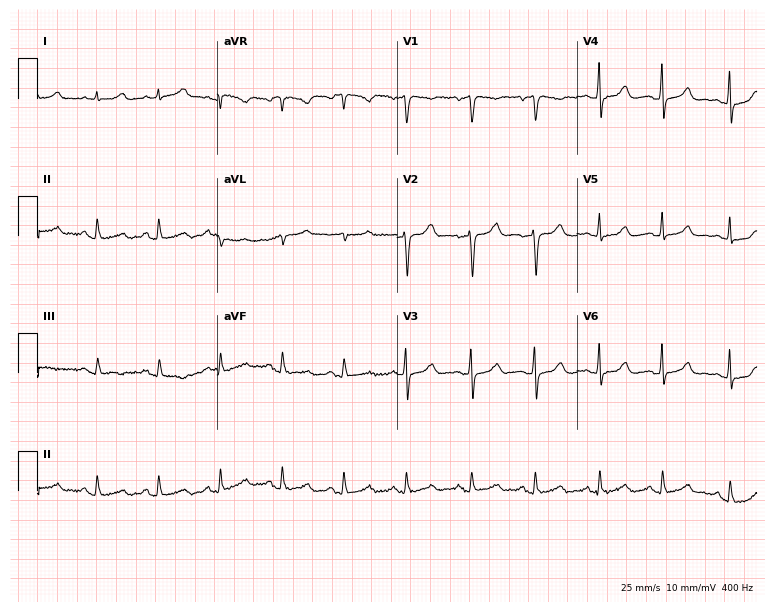
ECG — a female patient, 52 years old. Labelled as a normal ECG.